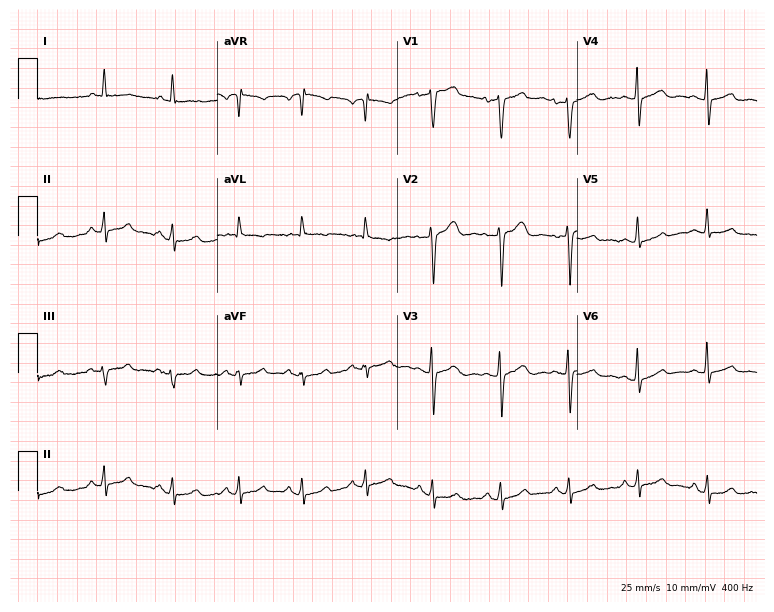
Resting 12-lead electrocardiogram. Patient: a 55-year-old female. Read as a normal ECG.